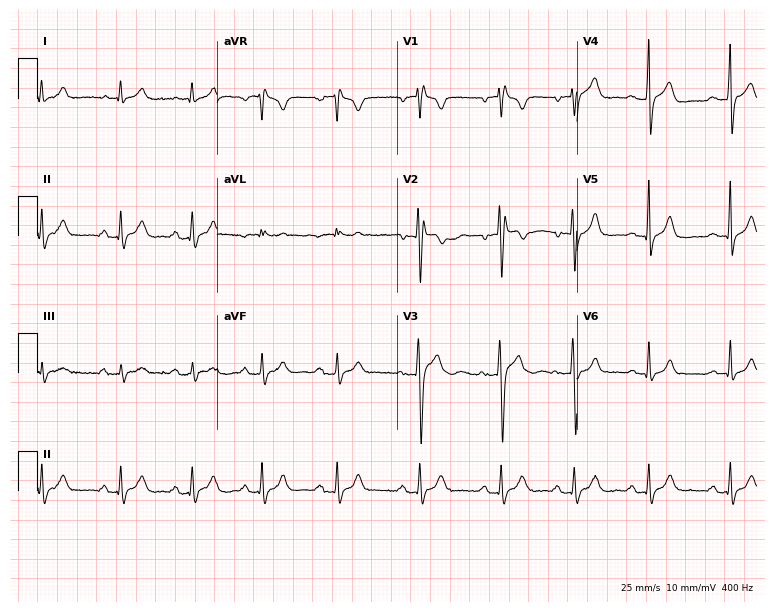
12-lead ECG from a 24-year-old man (7.3-second recording at 400 Hz). No first-degree AV block, right bundle branch block, left bundle branch block, sinus bradycardia, atrial fibrillation or sinus tachycardia recorded for this tracing.